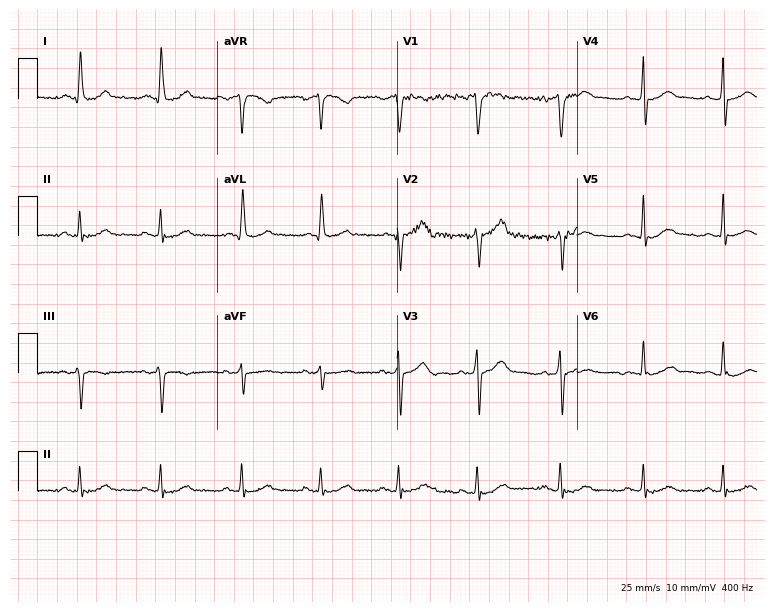
12-lead ECG from a man, 50 years old (7.3-second recording at 400 Hz). Recorded interpretation: within normal limits.